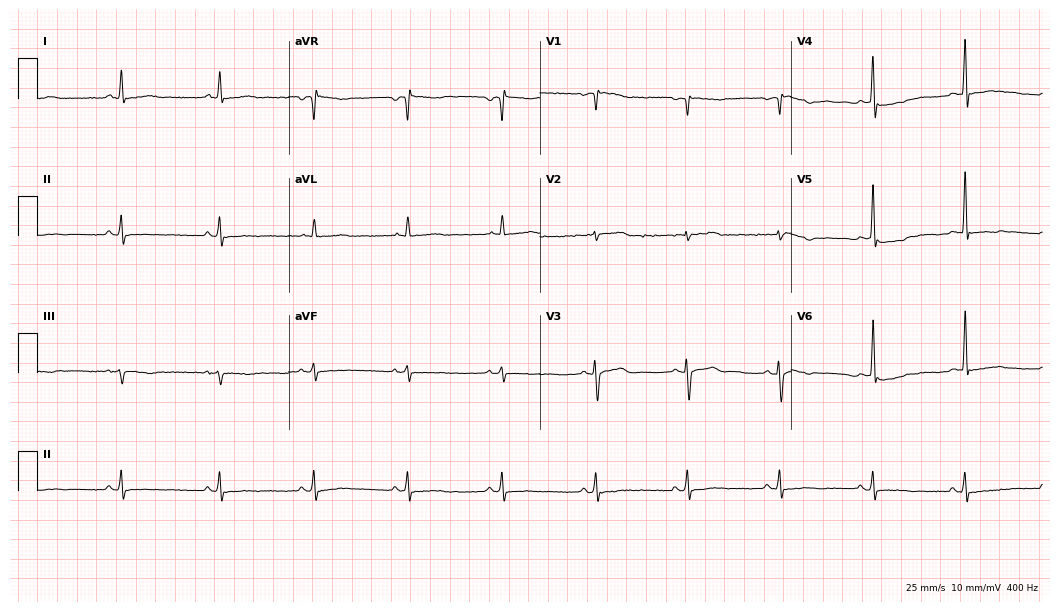
ECG — a woman, 80 years old. Labelled as a normal ECG.